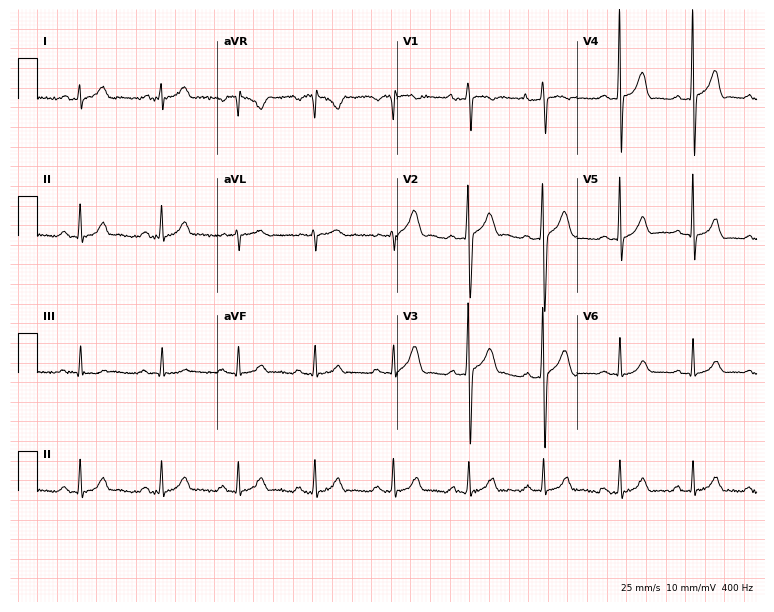
ECG — an 18-year-old male patient. Screened for six findings — first-degree AV block, right bundle branch block (RBBB), left bundle branch block (LBBB), sinus bradycardia, atrial fibrillation (AF), sinus tachycardia — none is recorded.